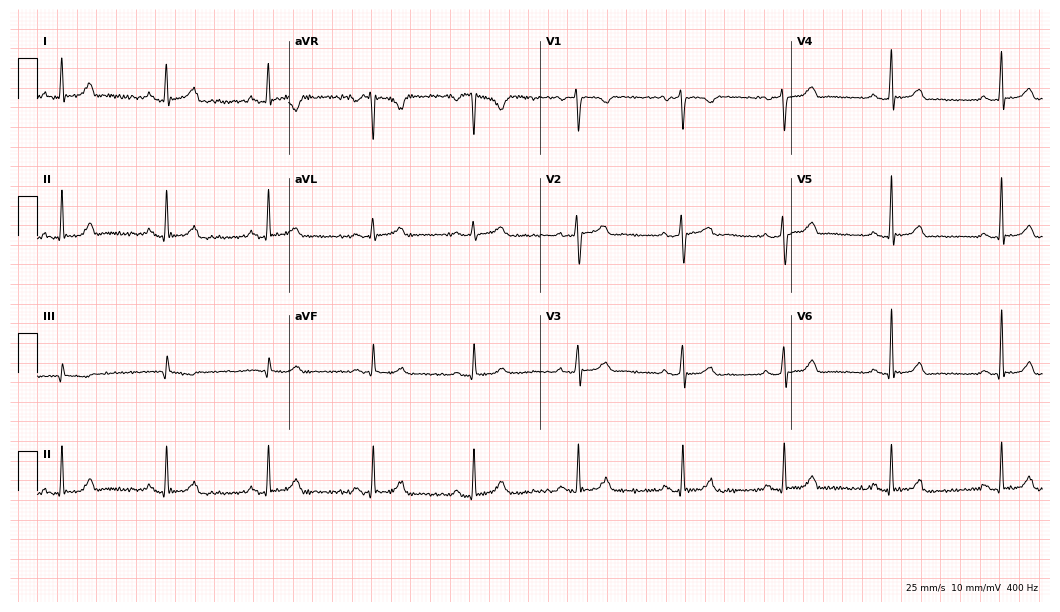
12-lead ECG (10.2-second recording at 400 Hz) from a woman, 42 years old. Labelled as a normal ECG.